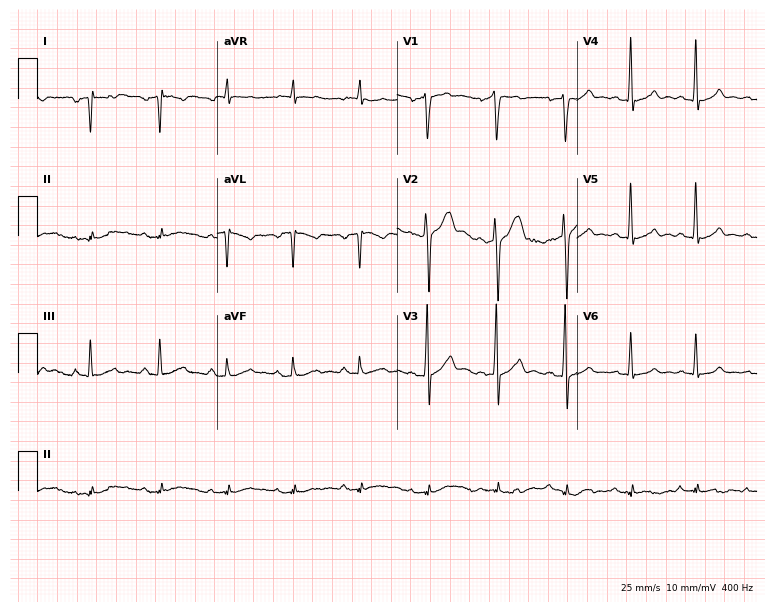
Resting 12-lead electrocardiogram (7.3-second recording at 400 Hz). Patient: a 33-year-old male. None of these six findings is recorded: first-degree AV block, right bundle branch block, left bundle branch block, sinus bradycardia, atrial fibrillation, sinus tachycardia. Findings outside these six are not listed.